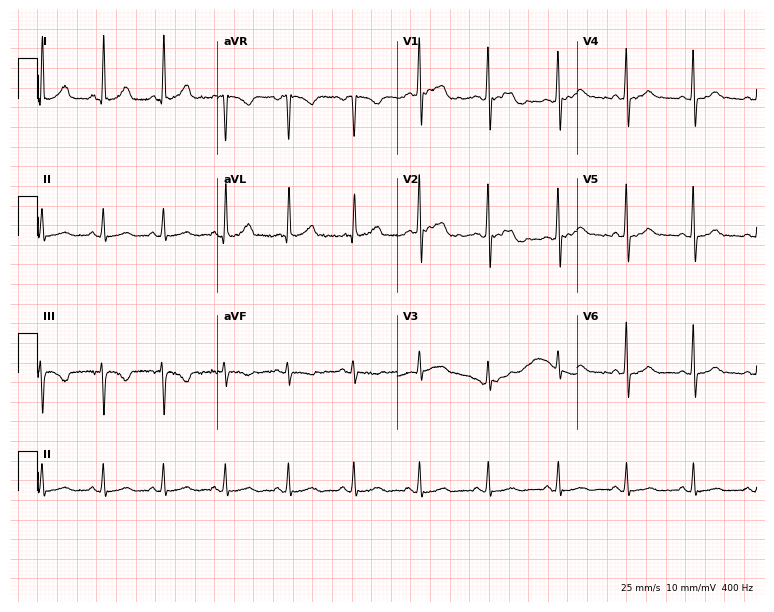
Resting 12-lead electrocardiogram (7.3-second recording at 400 Hz). Patient: a 42-year-old woman. None of these six findings is recorded: first-degree AV block, right bundle branch block, left bundle branch block, sinus bradycardia, atrial fibrillation, sinus tachycardia. Findings outside these six are not listed.